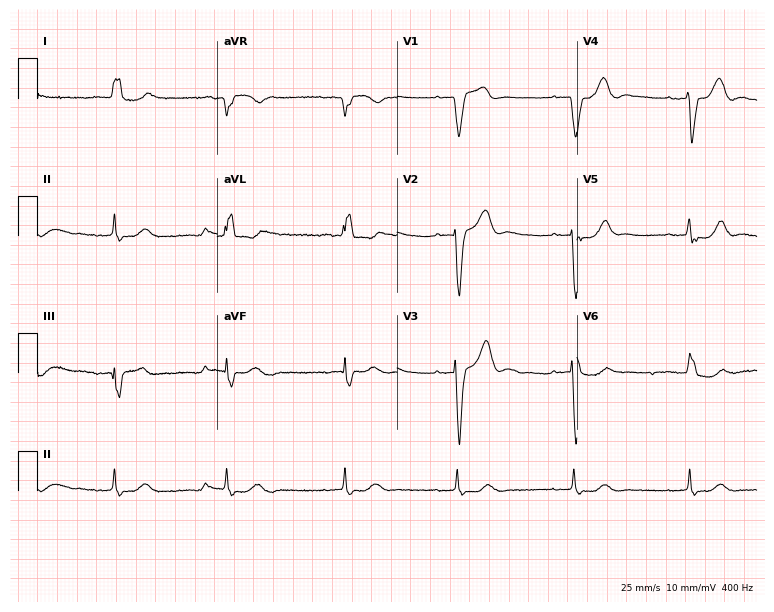
12-lead ECG (7.3-second recording at 400 Hz) from a male, 83 years old. Findings include left bundle branch block.